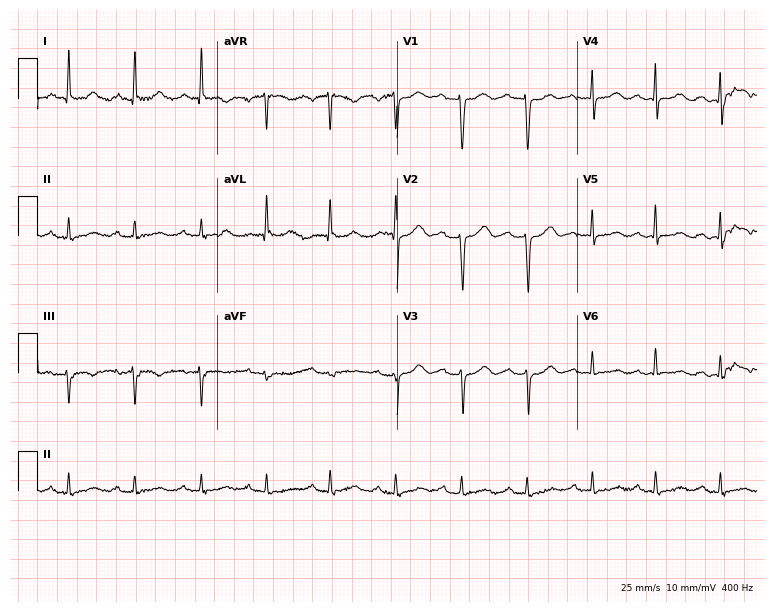
12-lead ECG from an 82-year-old female. No first-degree AV block, right bundle branch block, left bundle branch block, sinus bradycardia, atrial fibrillation or sinus tachycardia recorded for this tracing. Other findings, if any, are not listed.